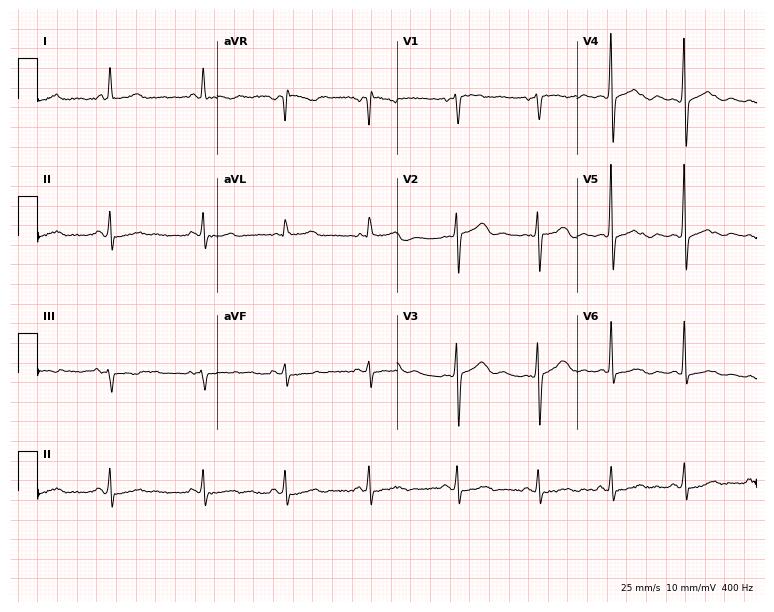
12-lead ECG from a 50-year-old woman (7.3-second recording at 400 Hz). No first-degree AV block, right bundle branch block, left bundle branch block, sinus bradycardia, atrial fibrillation or sinus tachycardia recorded for this tracing. Only these six findings were labelled.